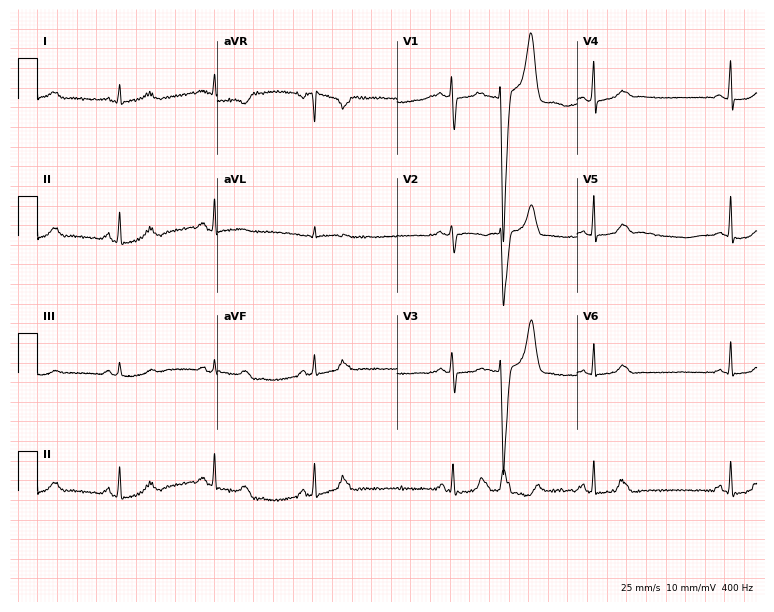
12-lead ECG (7.3-second recording at 400 Hz) from a female patient, 32 years old. Labelled as a normal ECG.